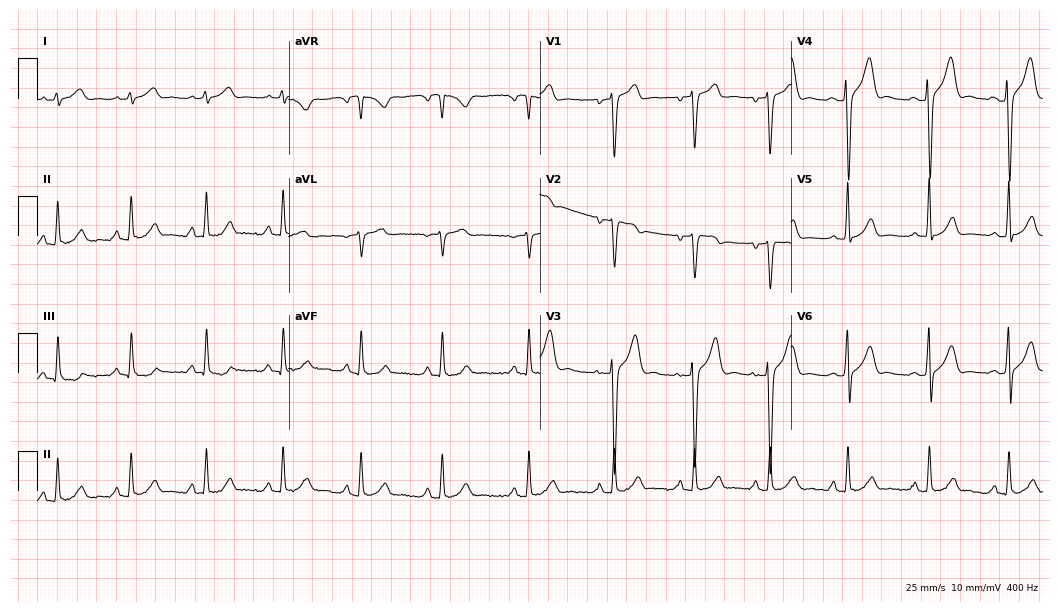
12-lead ECG from a 23-year-old man. Screened for six findings — first-degree AV block, right bundle branch block, left bundle branch block, sinus bradycardia, atrial fibrillation, sinus tachycardia — none is recorded. Other findings, if any, are not listed.